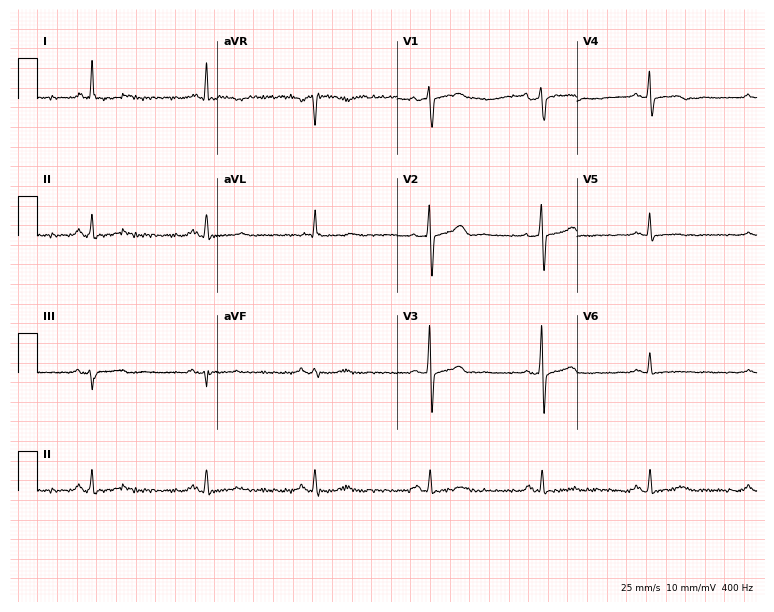
Standard 12-lead ECG recorded from a 56-year-old female. None of these six findings is recorded: first-degree AV block, right bundle branch block (RBBB), left bundle branch block (LBBB), sinus bradycardia, atrial fibrillation (AF), sinus tachycardia.